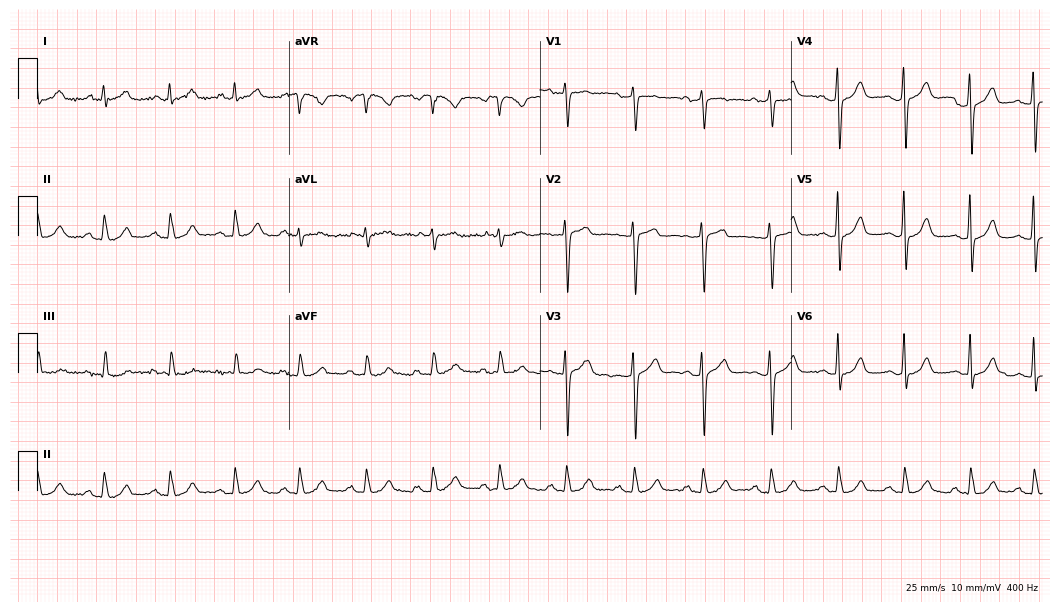
ECG — a 56-year-old male. Labelled as a normal ECG.